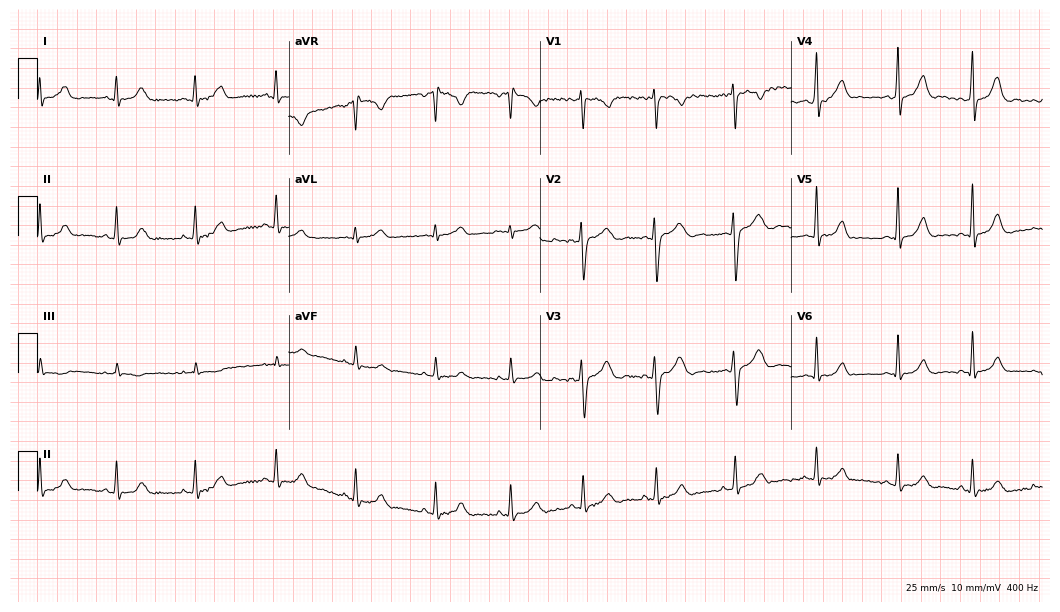
ECG — a female patient, 24 years old. Screened for six findings — first-degree AV block, right bundle branch block (RBBB), left bundle branch block (LBBB), sinus bradycardia, atrial fibrillation (AF), sinus tachycardia — none is recorded.